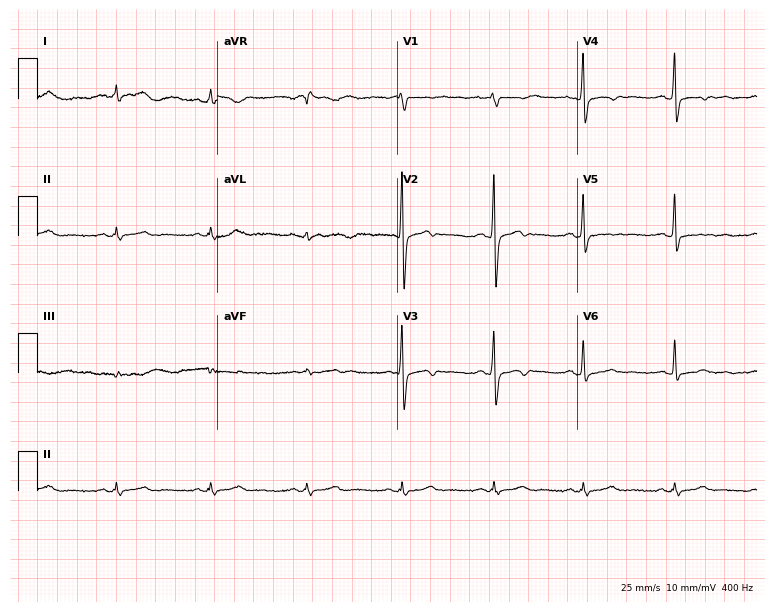
Electrocardiogram (7.3-second recording at 400 Hz), a man, 38 years old. Of the six screened findings (first-degree AV block, right bundle branch block, left bundle branch block, sinus bradycardia, atrial fibrillation, sinus tachycardia), none is recorded. Only these six findings were labelled.